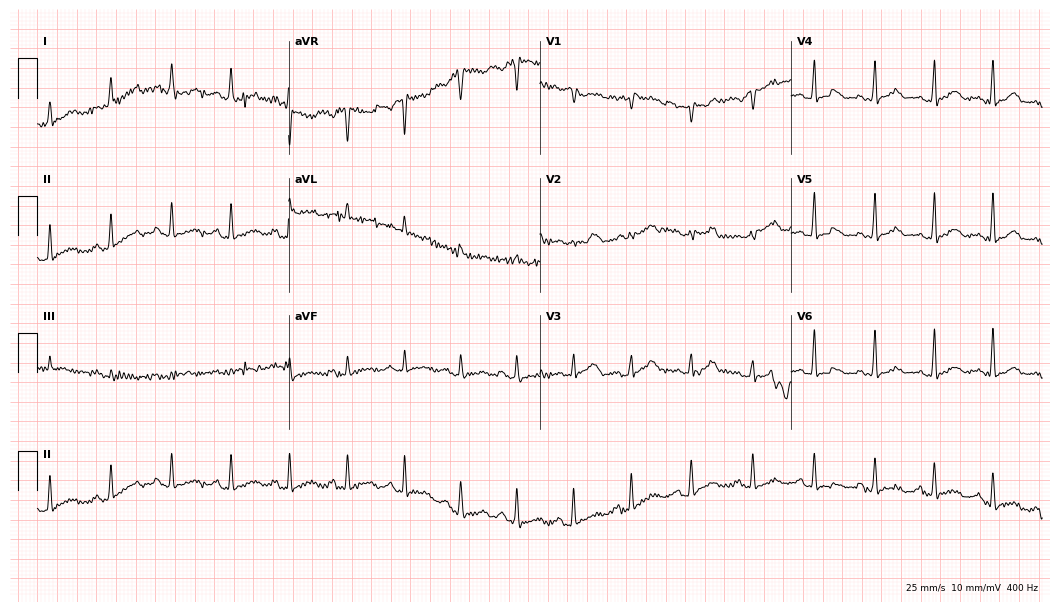
Resting 12-lead electrocardiogram (10.2-second recording at 400 Hz). Patient: a female, 44 years old. The tracing shows sinus tachycardia (a sinus rate of 100 beats per minute or more).